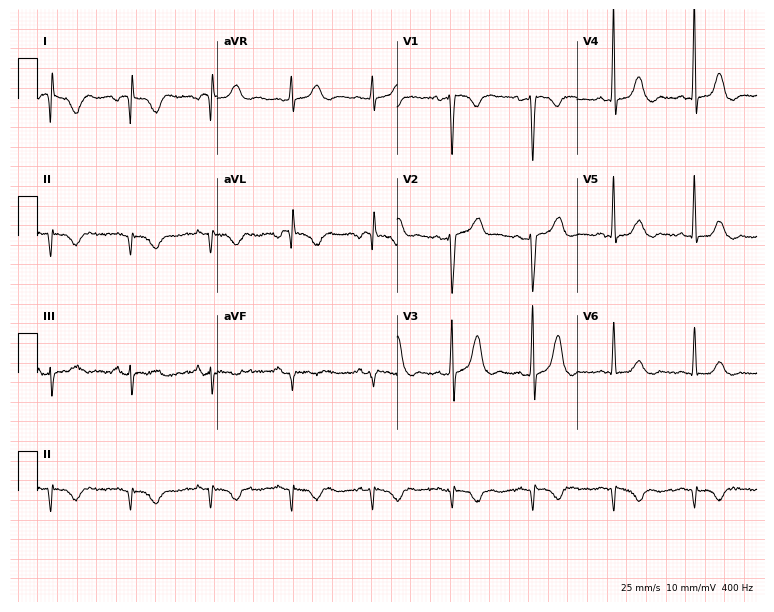
Resting 12-lead electrocardiogram (7.3-second recording at 400 Hz). Patient: a female, 77 years old. None of these six findings is recorded: first-degree AV block, right bundle branch block, left bundle branch block, sinus bradycardia, atrial fibrillation, sinus tachycardia.